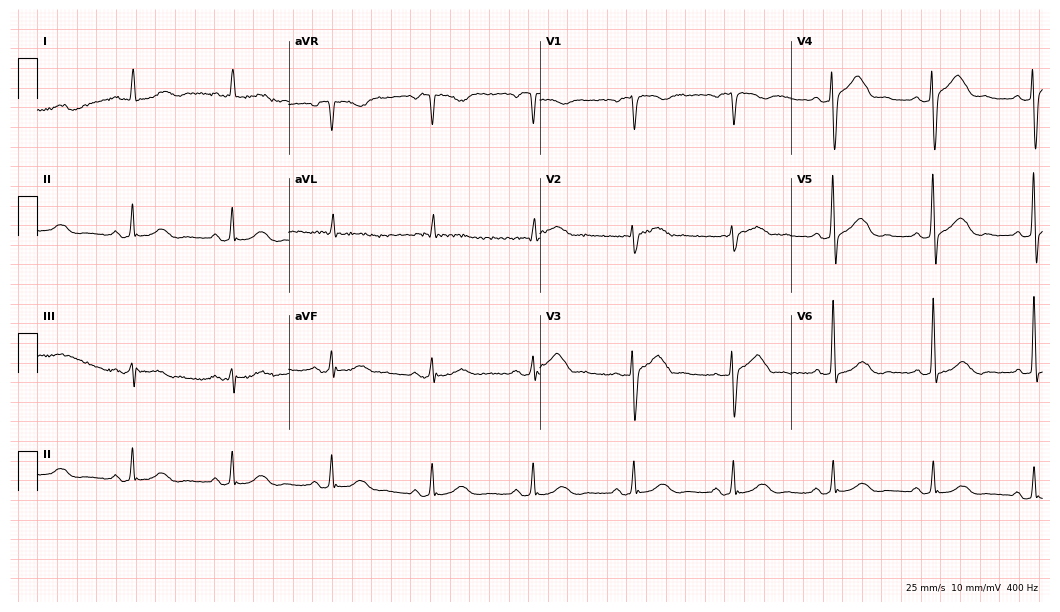
ECG — a female patient, 82 years old. Screened for six findings — first-degree AV block, right bundle branch block (RBBB), left bundle branch block (LBBB), sinus bradycardia, atrial fibrillation (AF), sinus tachycardia — none is recorded. Findings outside these six are not listed.